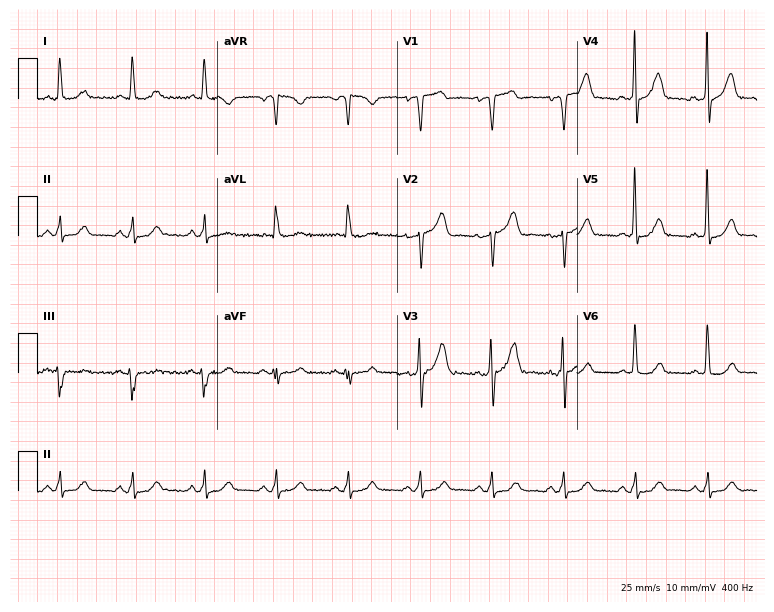
ECG (7.3-second recording at 400 Hz) — a male, 65 years old. Screened for six findings — first-degree AV block, right bundle branch block, left bundle branch block, sinus bradycardia, atrial fibrillation, sinus tachycardia — none is recorded.